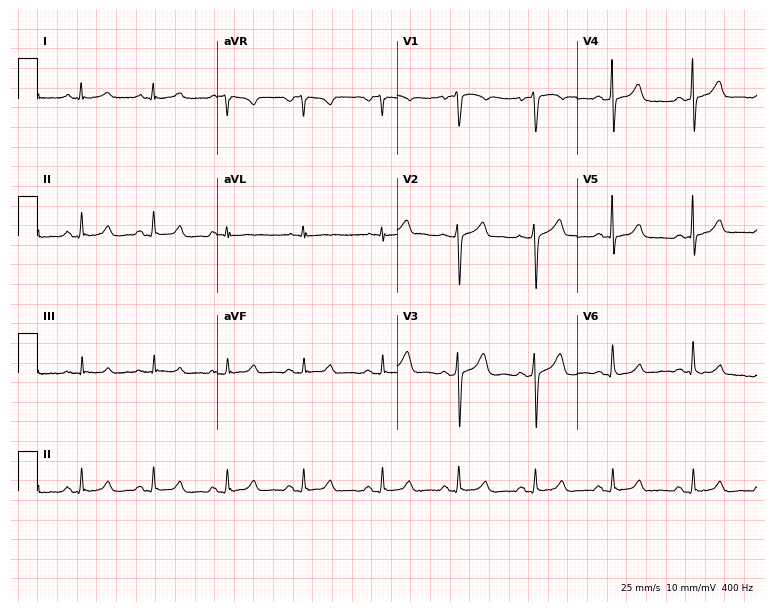
12-lead ECG (7.3-second recording at 400 Hz) from a female patient, 46 years old. Screened for six findings — first-degree AV block, right bundle branch block (RBBB), left bundle branch block (LBBB), sinus bradycardia, atrial fibrillation (AF), sinus tachycardia — none is recorded. Findings outside these six are not listed.